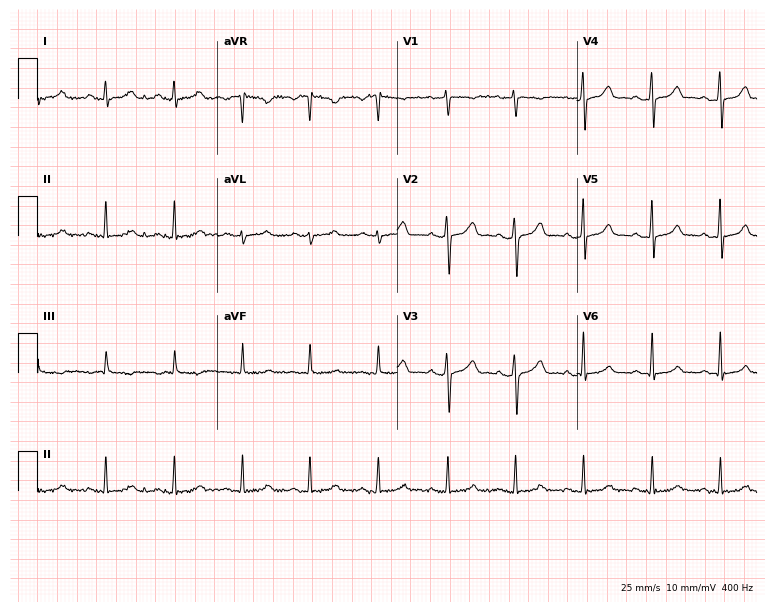
12-lead ECG from a 28-year-old female patient. No first-degree AV block, right bundle branch block, left bundle branch block, sinus bradycardia, atrial fibrillation or sinus tachycardia recorded for this tracing. Findings outside these six are not listed.